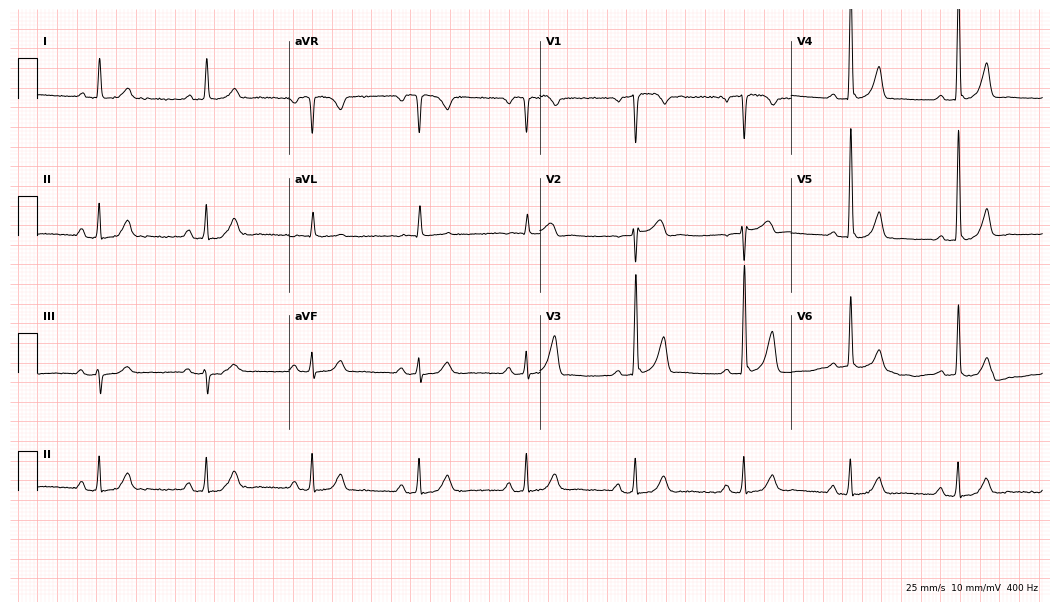
12-lead ECG from a 73-year-old man (10.2-second recording at 400 Hz). No first-degree AV block, right bundle branch block, left bundle branch block, sinus bradycardia, atrial fibrillation or sinus tachycardia recorded for this tracing.